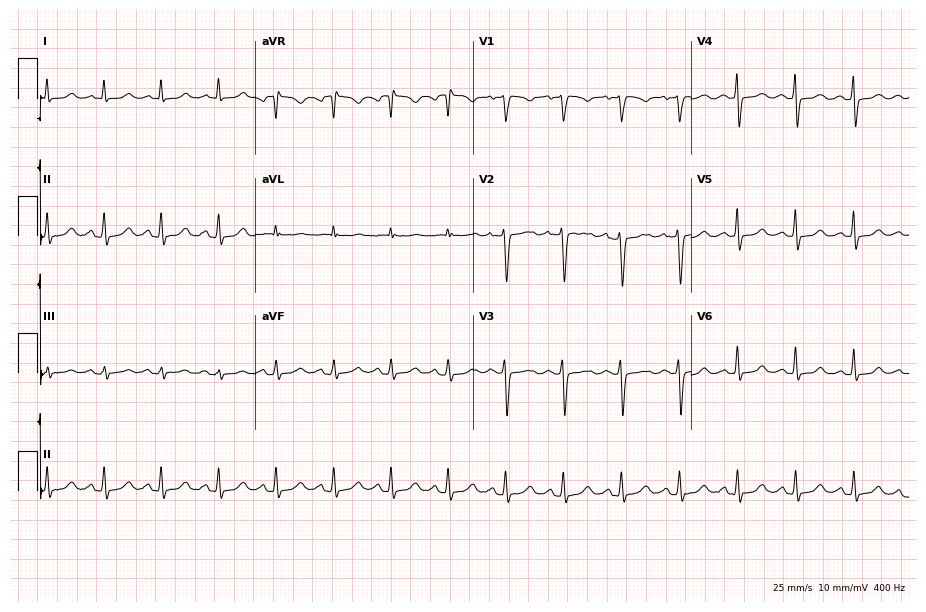
Standard 12-lead ECG recorded from a 56-year-old woman (8.9-second recording at 400 Hz). None of these six findings is recorded: first-degree AV block, right bundle branch block, left bundle branch block, sinus bradycardia, atrial fibrillation, sinus tachycardia. Findings outside these six are not listed.